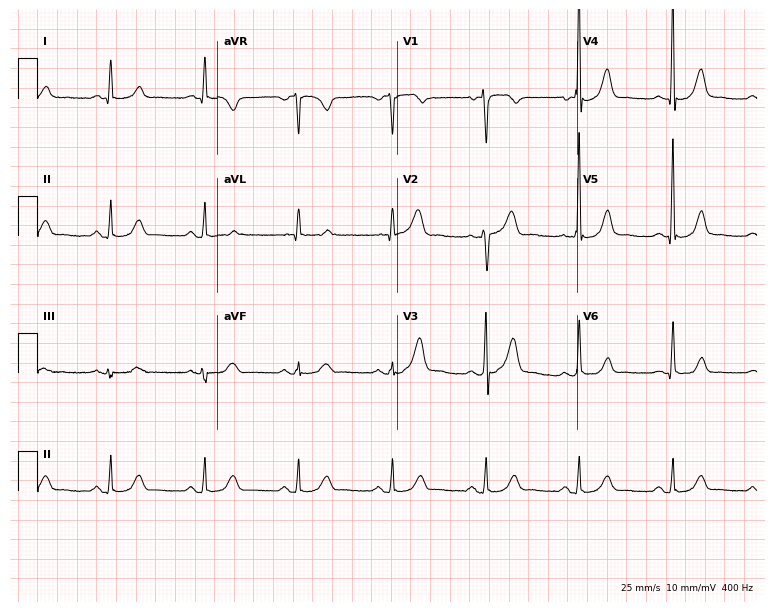
12-lead ECG (7.3-second recording at 400 Hz) from a male patient, 77 years old. Screened for six findings — first-degree AV block, right bundle branch block, left bundle branch block, sinus bradycardia, atrial fibrillation, sinus tachycardia — none is recorded.